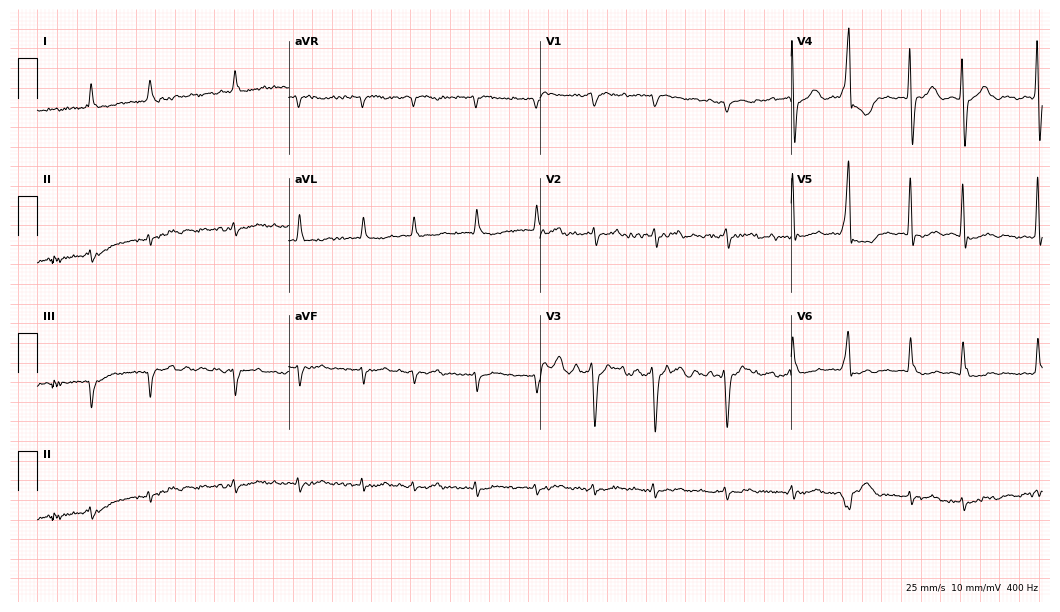
Standard 12-lead ECG recorded from an 85-year-old man (10.2-second recording at 400 Hz). The tracing shows atrial fibrillation (AF).